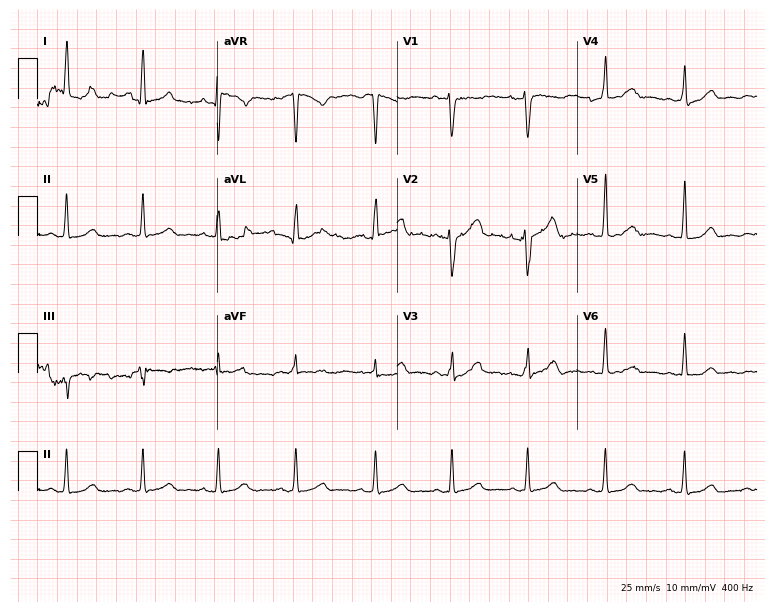
ECG (7.3-second recording at 400 Hz) — a 42-year-old female patient. Labelled as a normal ECG.